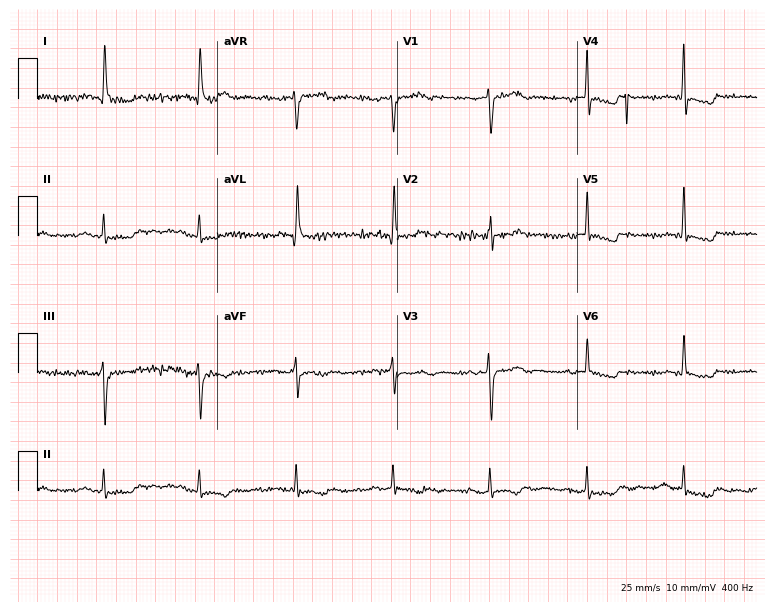
ECG (7.3-second recording at 400 Hz) — a woman, 68 years old. Screened for six findings — first-degree AV block, right bundle branch block (RBBB), left bundle branch block (LBBB), sinus bradycardia, atrial fibrillation (AF), sinus tachycardia — none is recorded. Other findings, if any, are not listed.